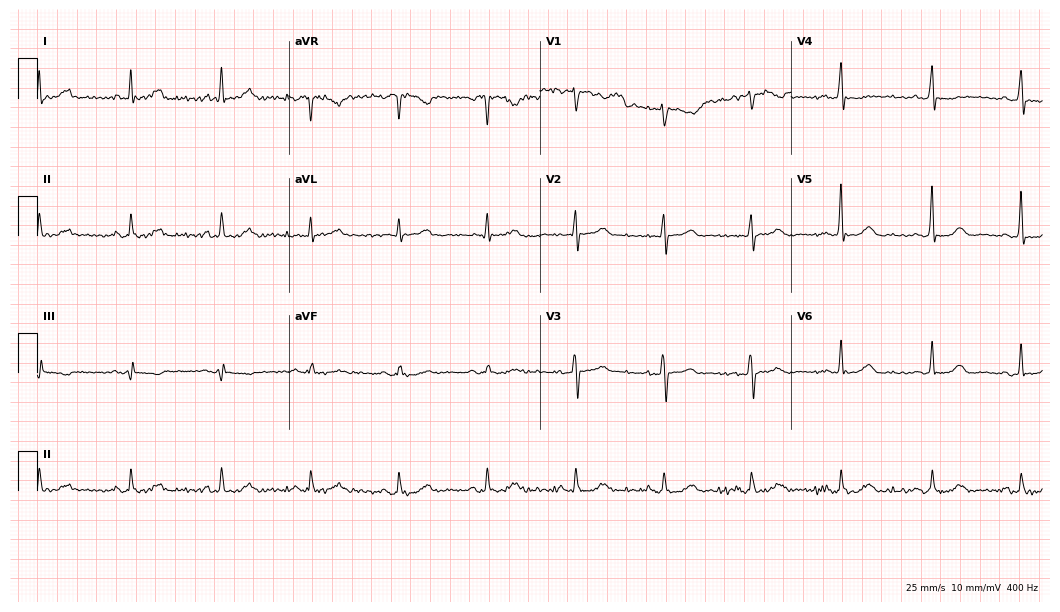
Electrocardiogram, a 72-year-old female patient. Overall reading on record: normal ECG.